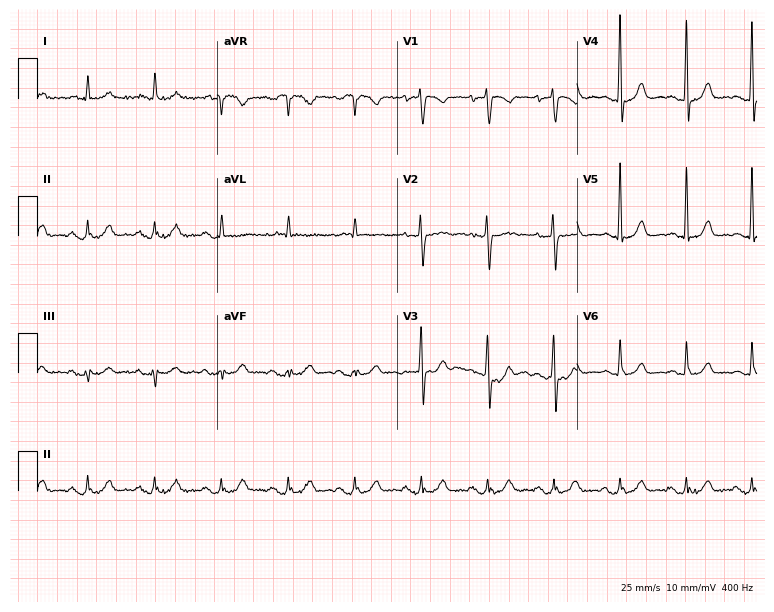
Electrocardiogram, a male patient, 83 years old. Overall reading on record: normal ECG.